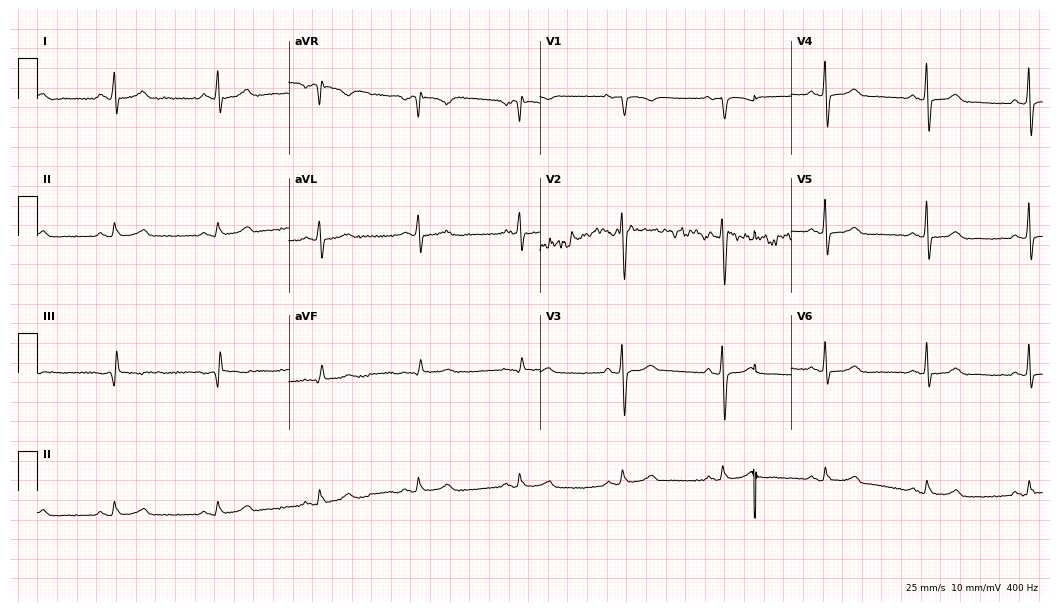
12-lead ECG (10.2-second recording at 400 Hz) from a 45-year-old woman. Screened for six findings — first-degree AV block, right bundle branch block, left bundle branch block, sinus bradycardia, atrial fibrillation, sinus tachycardia — none is recorded. Only these six findings were labelled.